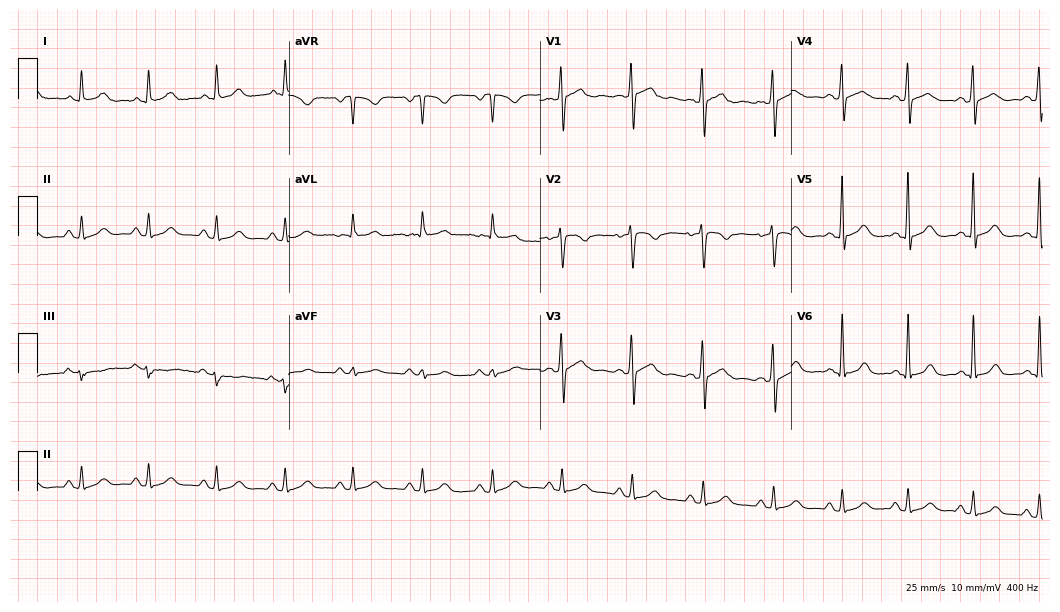
12-lead ECG from a 30-year-old female. No first-degree AV block, right bundle branch block, left bundle branch block, sinus bradycardia, atrial fibrillation or sinus tachycardia recorded for this tracing.